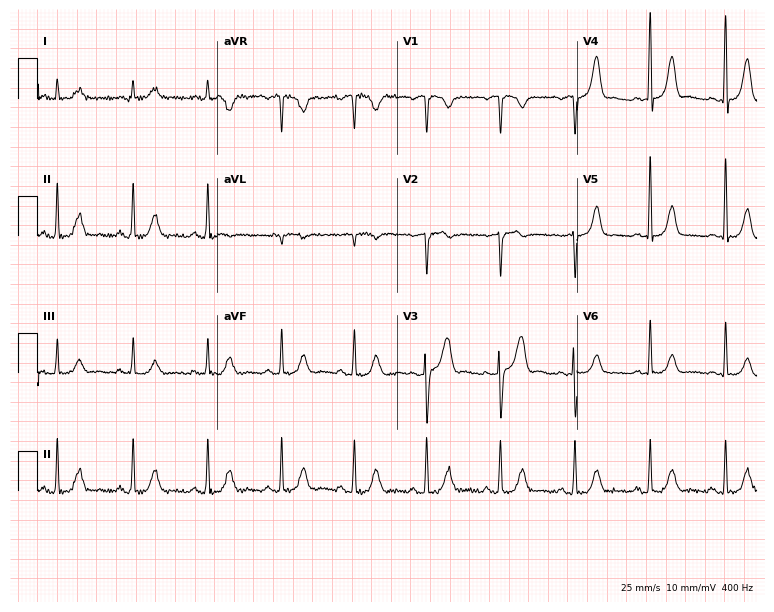
ECG (7.3-second recording at 400 Hz) — a 58-year-old man. Labelled as a normal ECG.